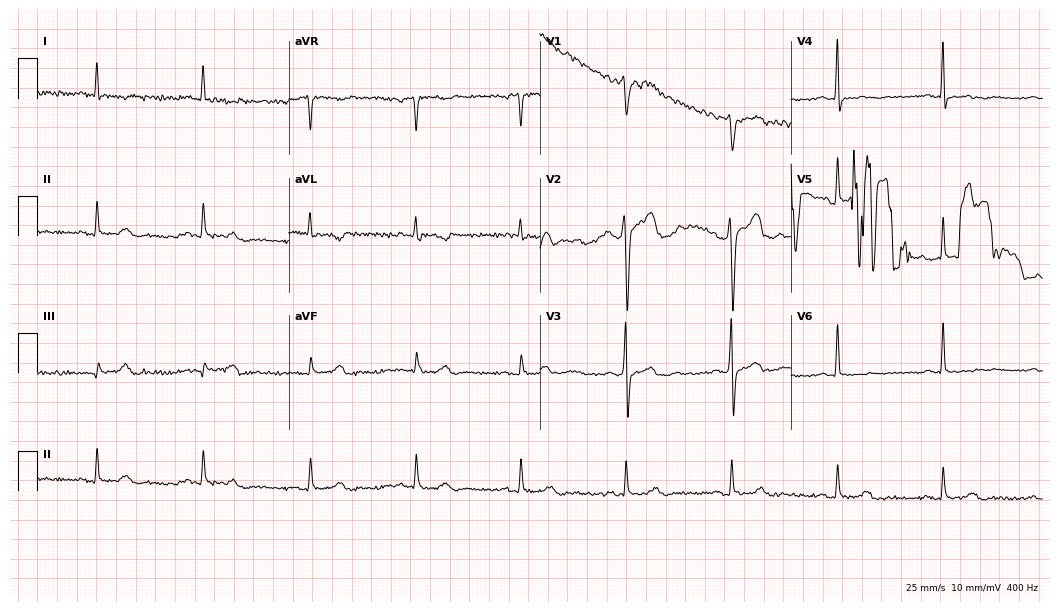
Electrocardiogram (10.2-second recording at 400 Hz), a 53-year-old male patient. Of the six screened findings (first-degree AV block, right bundle branch block (RBBB), left bundle branch block (LBBB), sinus bradycardia, atrial fibrillation (AF), sinus tachycardia), none is recorded.